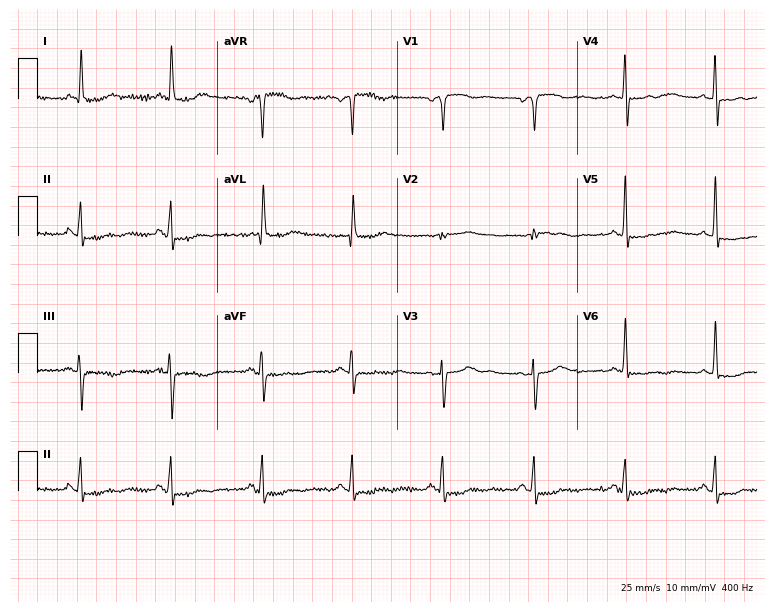
ECG — a 65-year-old female patient. Screened for six findings — first-degree AV block, right bundle branch block (RBBB), left bundle branch block (LBBB), sinus bradycardia, atrial fibrillation (AF), sinus tachycardia — none is recorded.